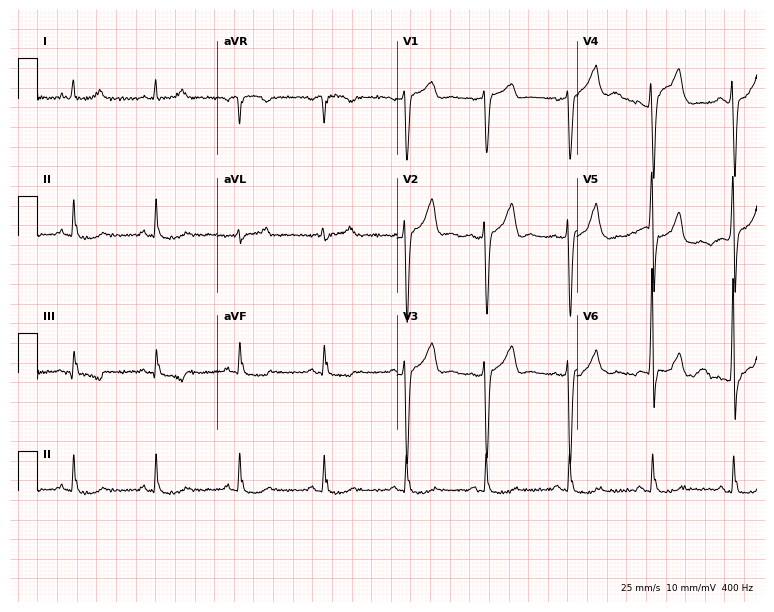
Standard 12-lead ECG recorded from a man, 66 years old. None of these six findings is recorded: first-degree AV block, right bundle branch block, left bundle branch block, sinus bradycardia, atrial fibrillation, sinus tachycardia. Only these six findings were labelled.